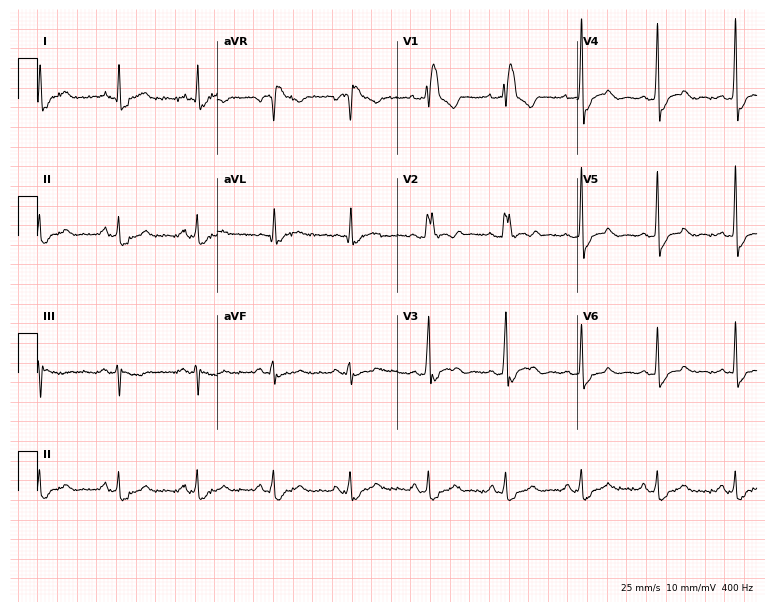
12-lead ECG (7.3-second recording at 400 Hz) from a female, 70 years old. Findings include right bundle branch block.